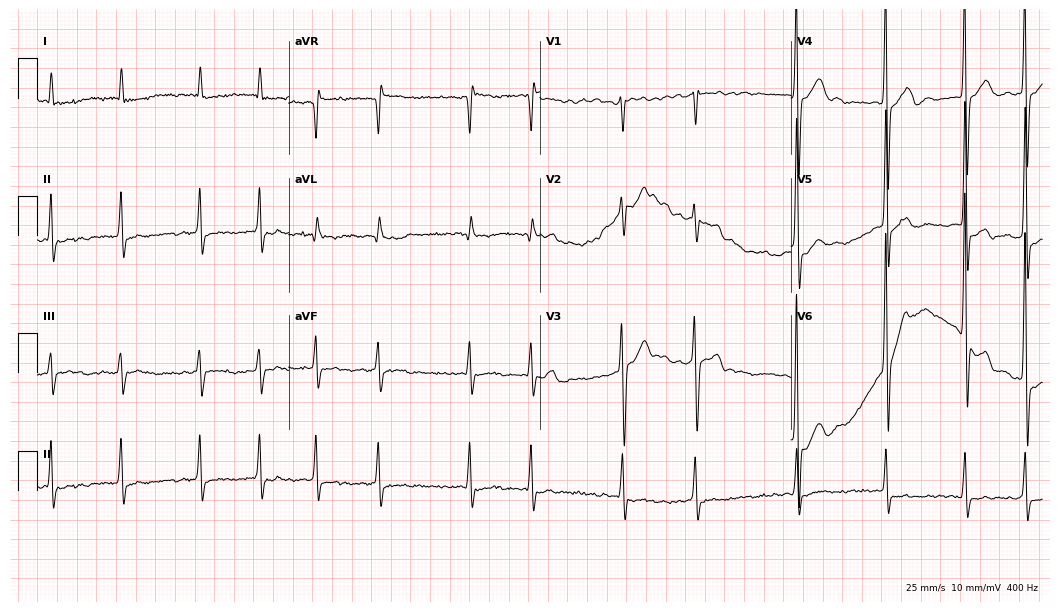
Electrocardiogram (10.2-second recording at 400 Hz), a male patient, 77 years old. Interpretation includes atrial fibrillation (AF).